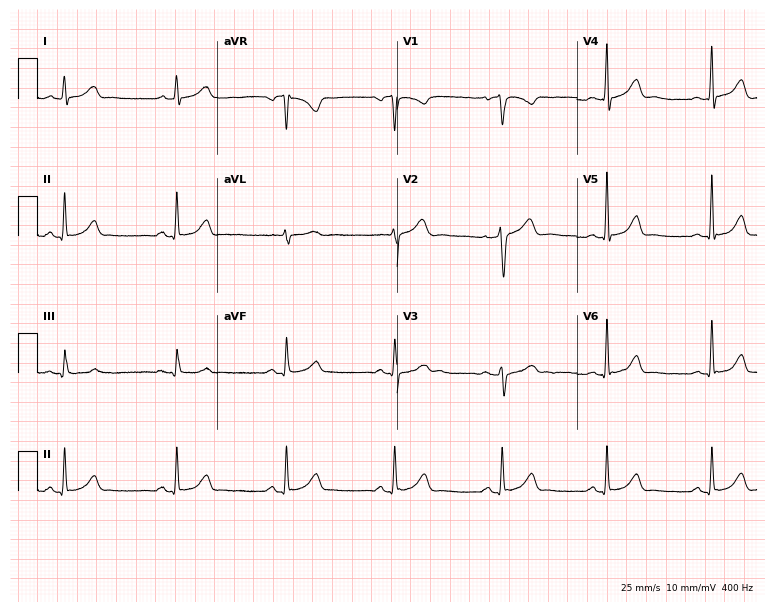
Resting 12-lead electrocardiogram. Patient: a male, 37 years old. Read as a normal ECG.